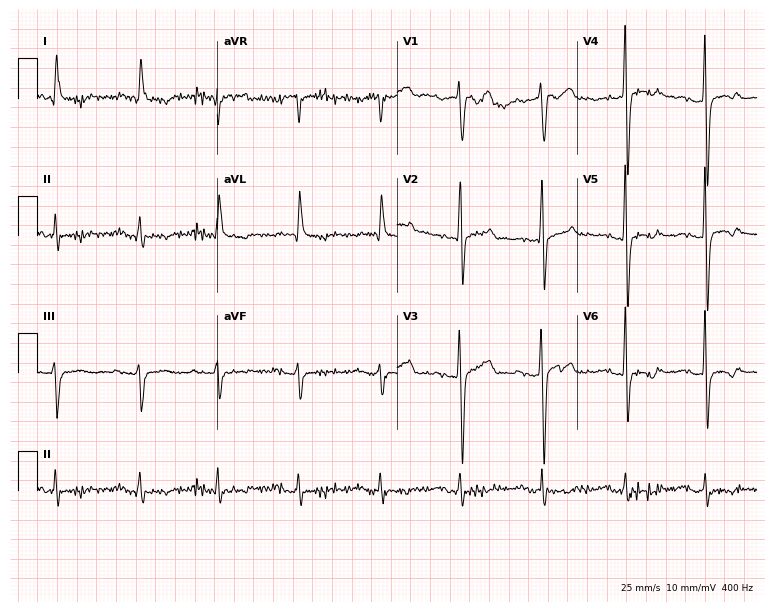
Electrocardiogram, a 73-year-old male patient. Of the six screened findings (first-degree AV block, right bundle branch block, left bundle branch block, sinus bradycardia, atrial fibrillation, sinus tachycardia), none is recorded. Other findings, if any, are not listed.